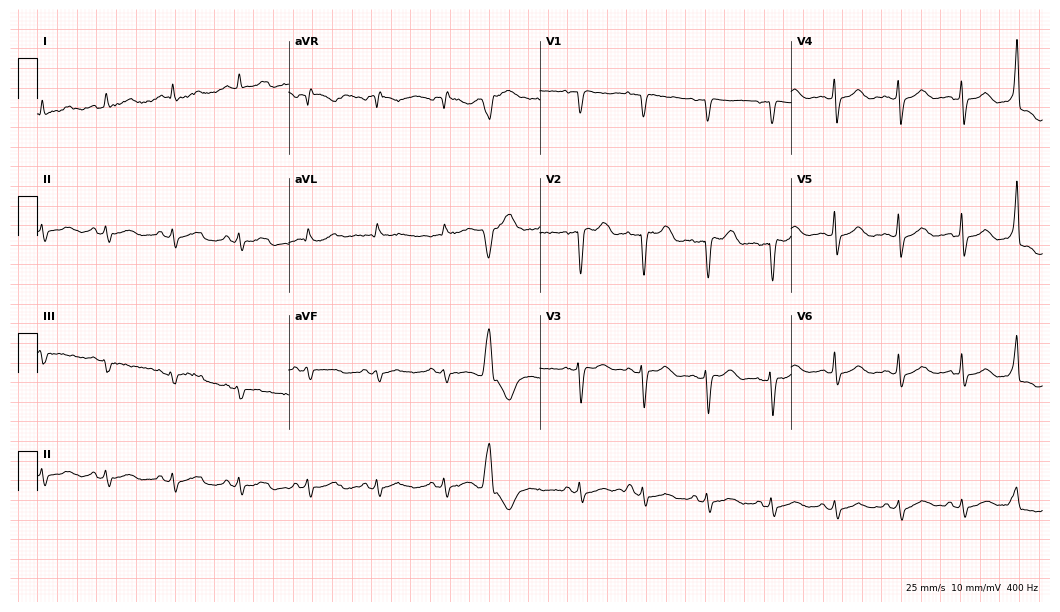
12-lead ECG from a 66-year-old man (10.2-second recording at 400 Hz). No first-degree AV block, right bundle branch block, left bundle branch block, sinus bradycardia, atrial fibrillation or sinus tachycardia recorded for this tracing. Findings outside these six are not listed.